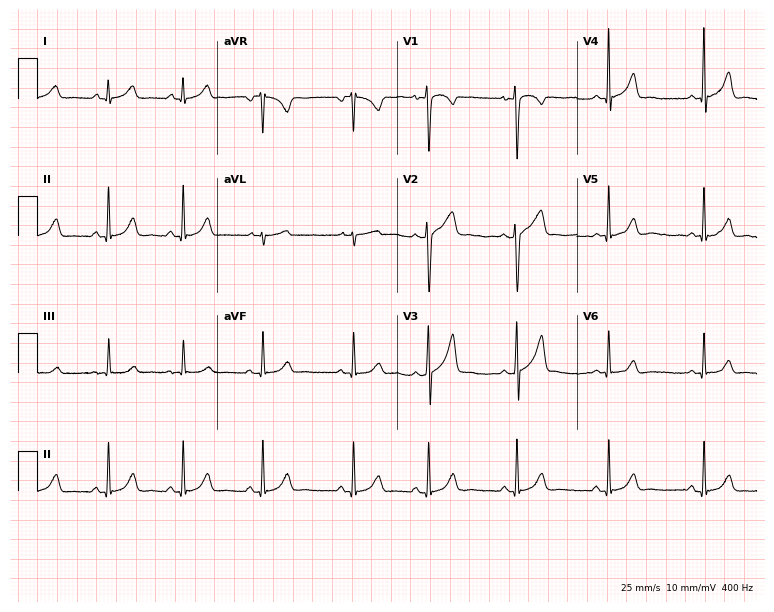
12-lead ECG from a female, 33 years old. Recorded interpretation: within normal limits.